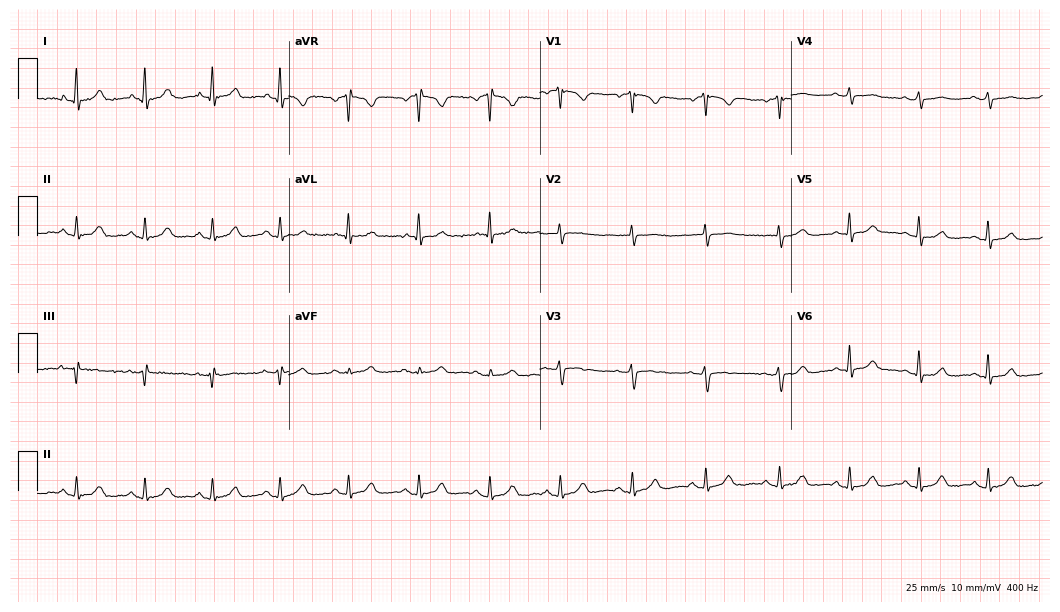
12-lead ECG from a 50-year-old female patient. Recorded interpretation: within normal limits.